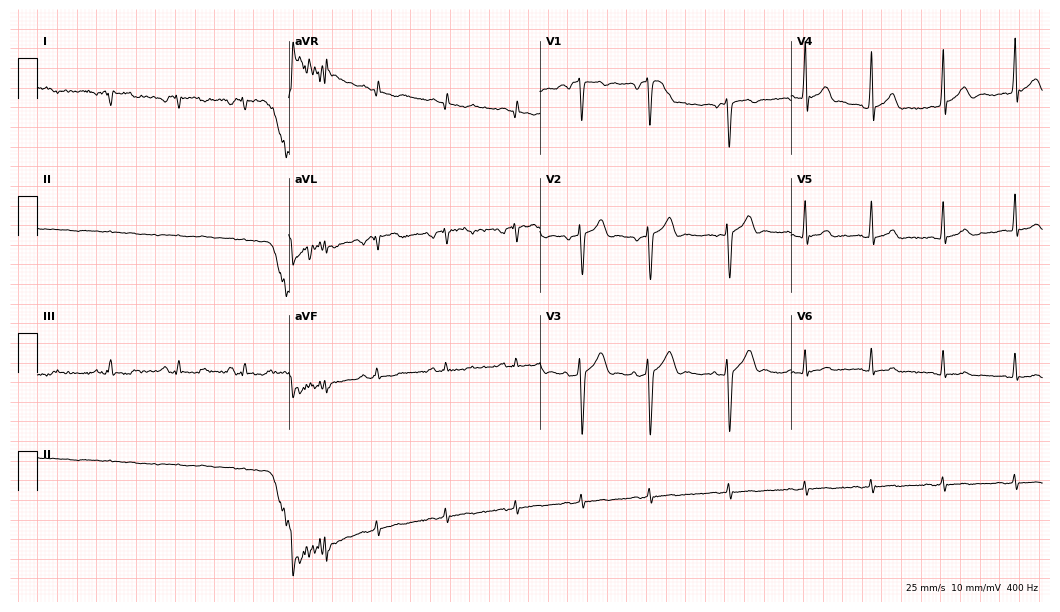
Electrocardiogram, a 19-year-old man. Of the six screened findings (first-degree AV block, right bundle branch block, left bundle branch block, sinus bradycardia, atrial fibrillation, sinus tachycardia), none is recorded. Findings outside these six are not listed.